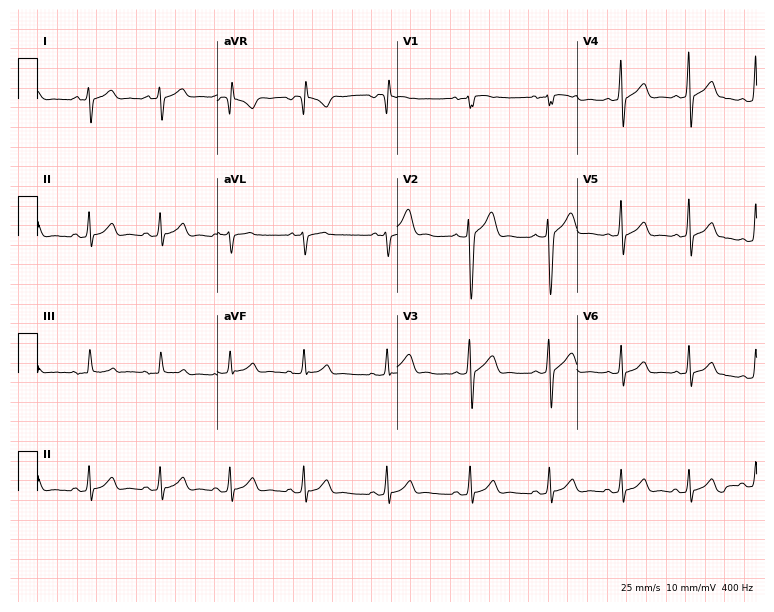
12-lead ECG from a 19-year-old male patient. No first-degree AV block, right bundle branch block, left bundle branch block, sinus bradycardia, atrial fibrillation or sinus tachycardia recorded for this tracing.